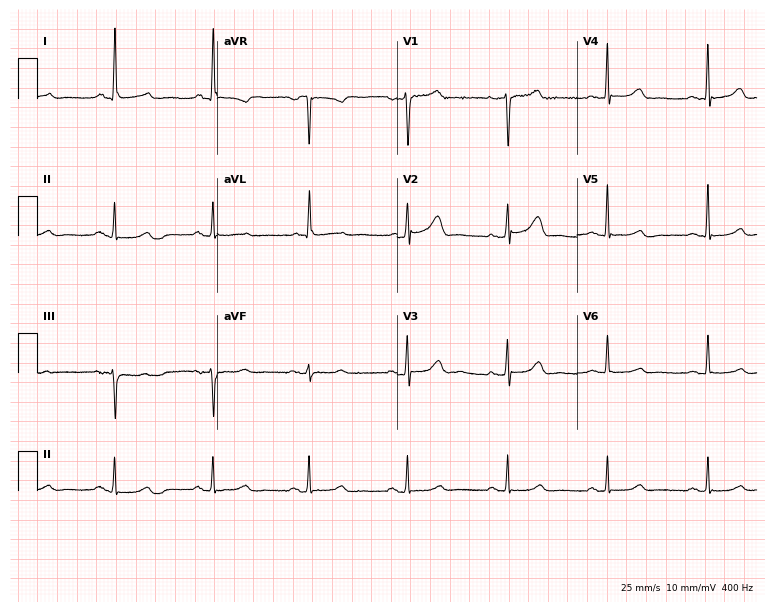
12-lead ECG from a 58-year-old female patient. Recorded interpretation: within normal limits.